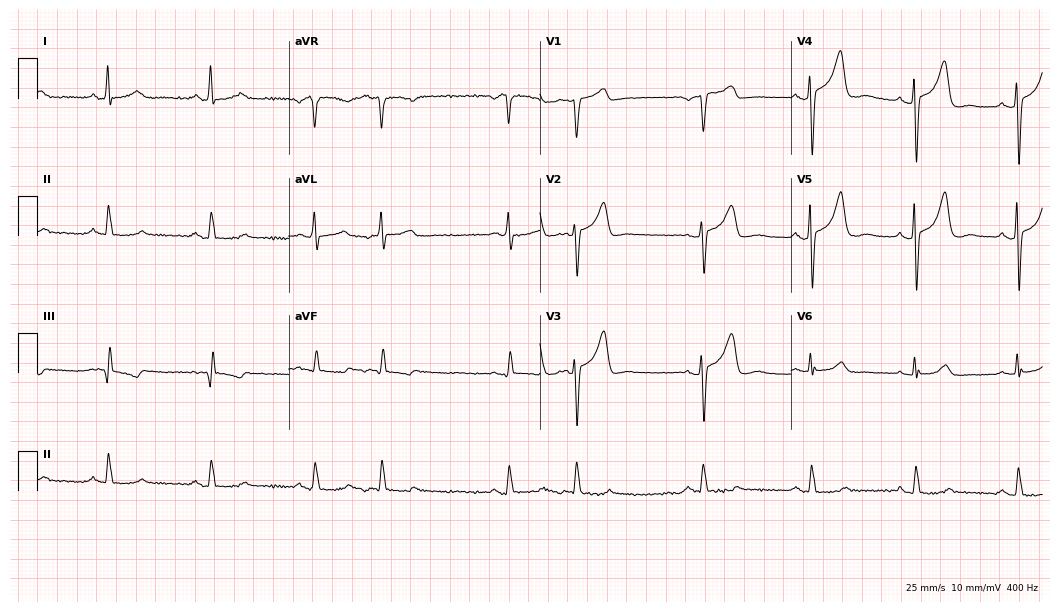
ECG (10.2-second recording at 400 Hz) — a woman, 65 years old. Labelled as a normal ECG.